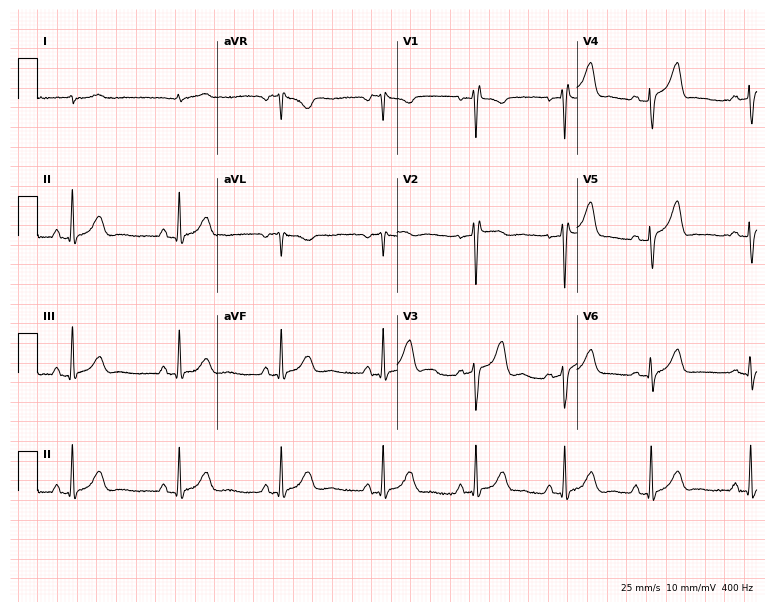
12-lead ECG (7.3-second recording at 400 Hz) from a male patient, 71 years old. Screened for six findings — first-degree AV block, right bundle branch block, left bundle branch block, sinus bradycardia, atrial fibrillation, sinus tachycardia — none is recorded. Findings outside these six are not listed.